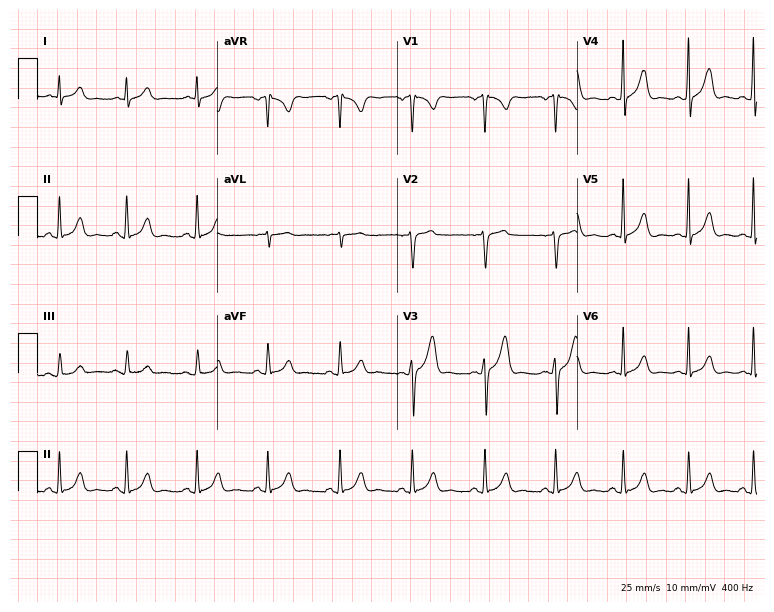
ECG (7.3-second recording at 400 Hz) — a male patient, 28 years old. Screened for six findings — first-degree AV block, right bundle branch block (RBBB), left bundle branch block (LBBB), sinus bradycardia, atrial fibrillation (AF), sinus tachycardia — none is recorded.